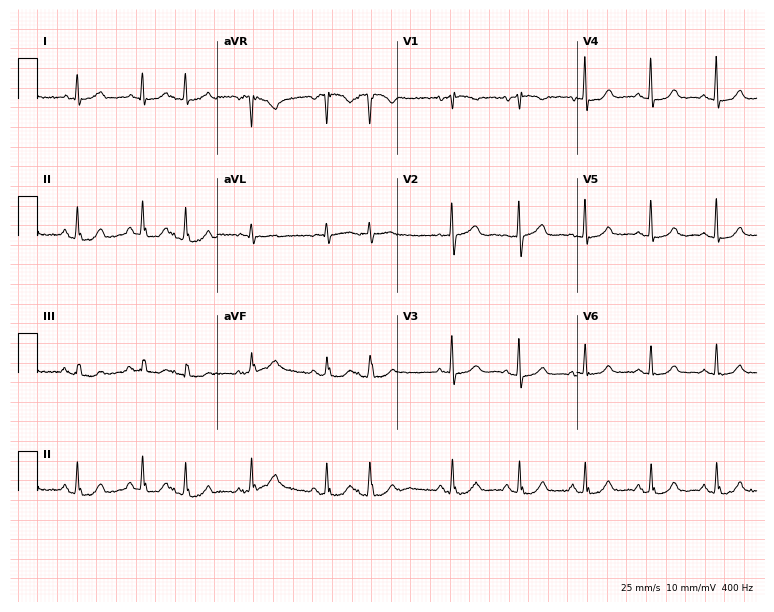
Resting 12-lead electrocardiogram. Patient: a female, 81 years old. None of these six findings is recorded: first-degree AV block, right bundle branch block, left bundle branch block, sinus bradycardia, atrial fibrillation, sinus tachycardia. Other findings, if any, are not listed.